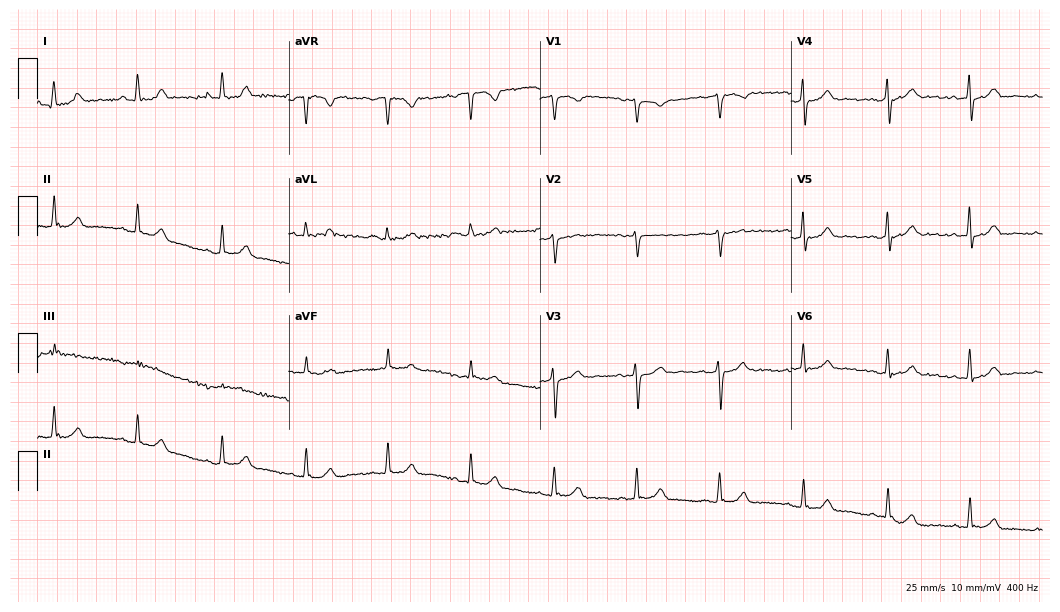
Standard 12-lead ECG recorded from a woman, 54 years old. None of these six findings is recorded: first-degree AV block, right bundle branch block, left bundle branch block, sinus bradycardia, atrial fibrillation, sinus tachycardia.